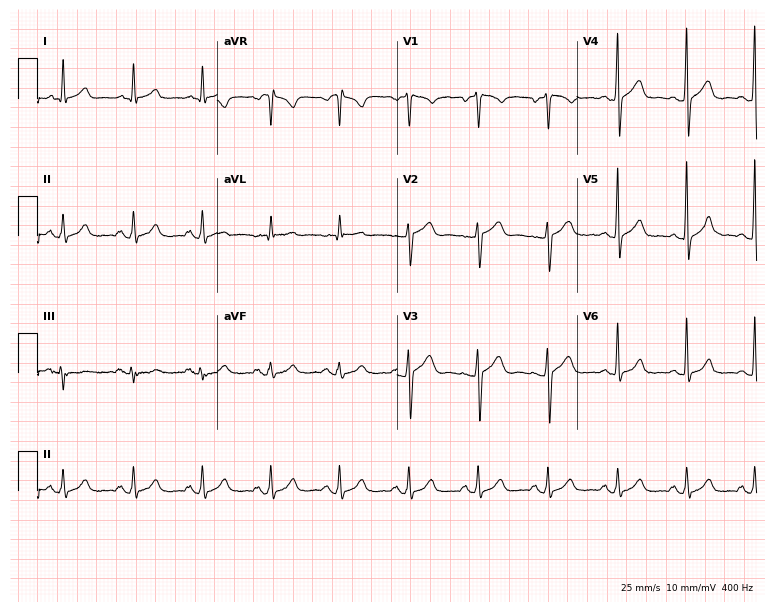
ECG — a male, 64 years old. Screened for six findings — first-degree AV block, right bundle branch block, left bundle branch block, sinus bradycardia, atrial fibrillation, sinus tachycardia — none is recorded.